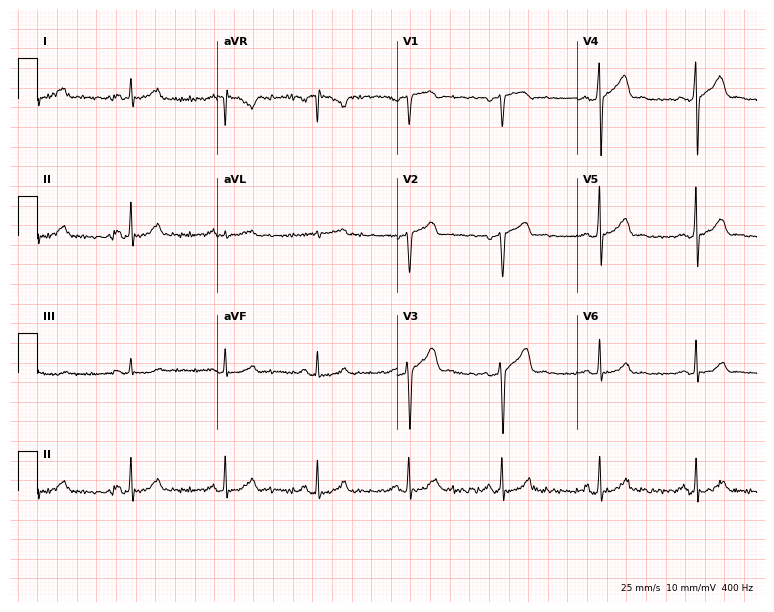
ECG (7.3-second recording at 400 Hz) — a 48-year-old male. Screened for six findings — first-degree AV block, right bundle branch block (RBBB), left bundle branch block (LBBB), sinus bradycardia, atrial fibrillation (AF), sinus tachycardia — none is recorded.